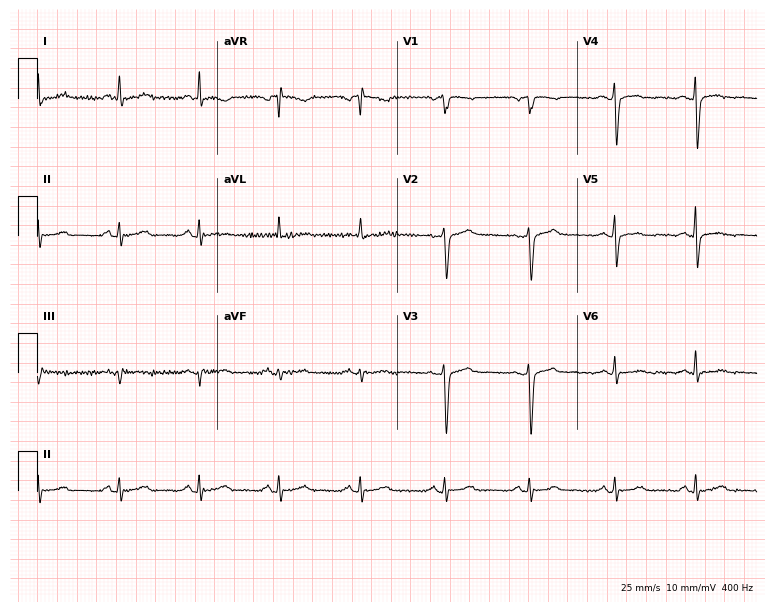
12-lead ECG from a 56-year-old female patient (7.3-second recording at 400 Hz). Recorded interpretation: within normal limits.